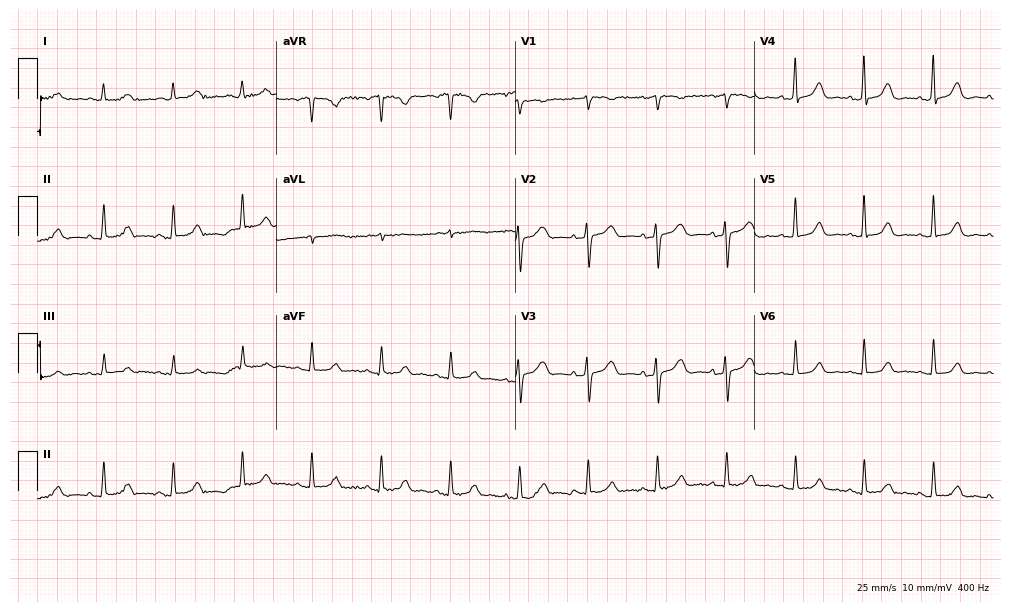
ECG (9.7-second recording at 400 Hz) — a female patient, 77 years old. Screened for six findings — first-degree AV block, right bundle branch block (RBBB), left bundle branch block (LBBB), sinus bradycardia, atrial fibrillation (AF), sinus tachycardia — none is recorded. Other findings, if any, are not listed.